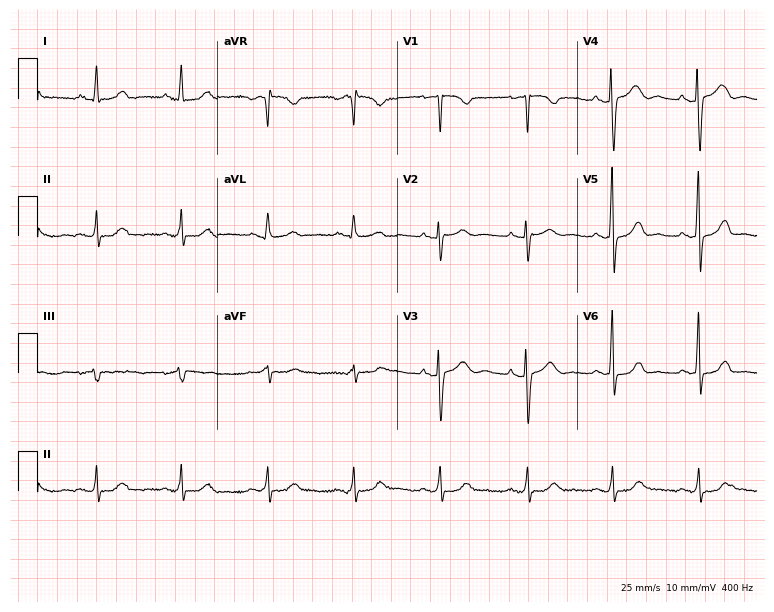
Standard 12-lead ECG recorded from a female, 51 years old (7.3-second recording at 400 Hz). None of these six findings is recorded: first-degree AV block, right bundle branch block (RBBB), left bundle branch block (LBBB), sinus bradycardia, atrial fibrillation (AF), sinus tachycardia. Only these six findings were labelled.